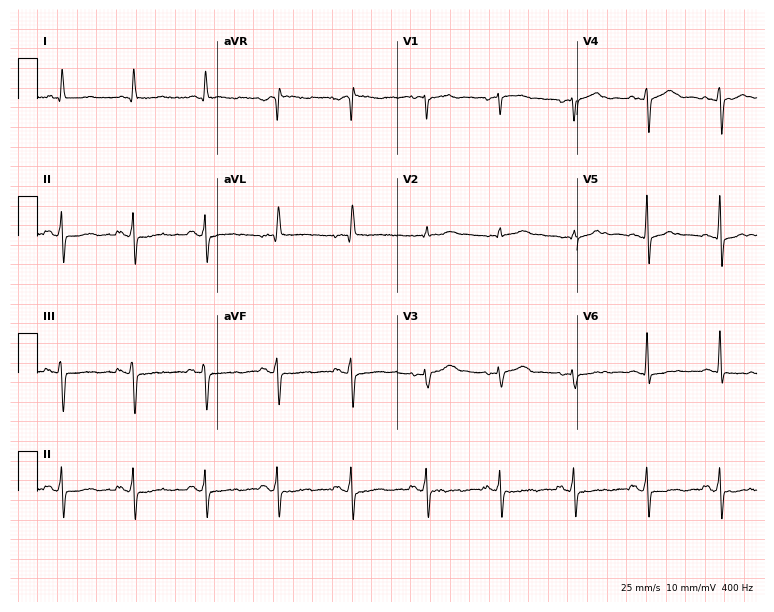
Resting 12-lead electrocardiogram. Patient: a woman, 52 years old. None of these six findings is recorded: first-degree AV block, right bundle branch block, left bundle branch block, sinus bradycardia, atrial fibrillation, sinus tachycardia.